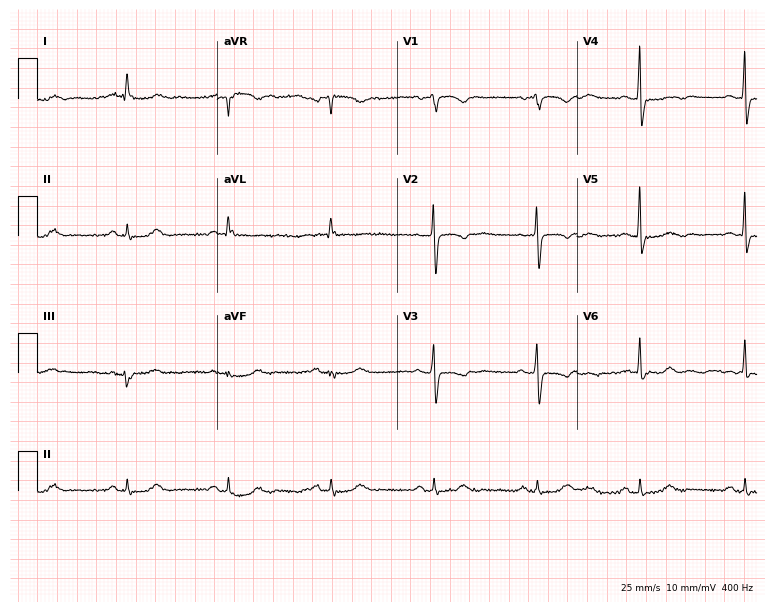
12-lead ECG (7.3-second recording at 400 Hz) from a female patient, 72 years old. Screened for six findings — first-degree AV block, right bundle branch block (RBBB), left bundle branch block (LBBB), sinus bradycardia, atrial fibrillation (AF), sinus tachycardia — none is recorded. Other findings, if any, are not listed.